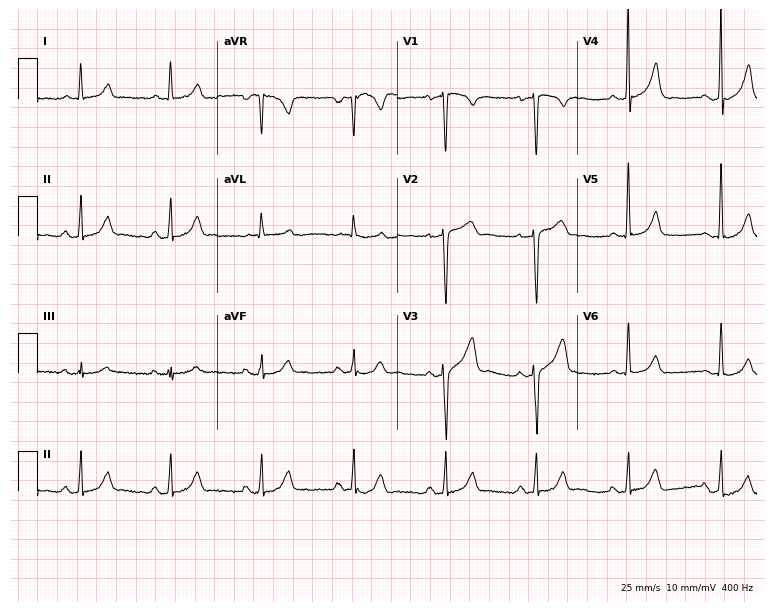
Resting 12-lead electrocardiogram. Patient: a male, 65 years old. None of these six findings is recorded: first-degree AV block, right bundle branch block, left bundle branch block, sinus bradycardia, atrial fibrillation, sinus tachycardia.